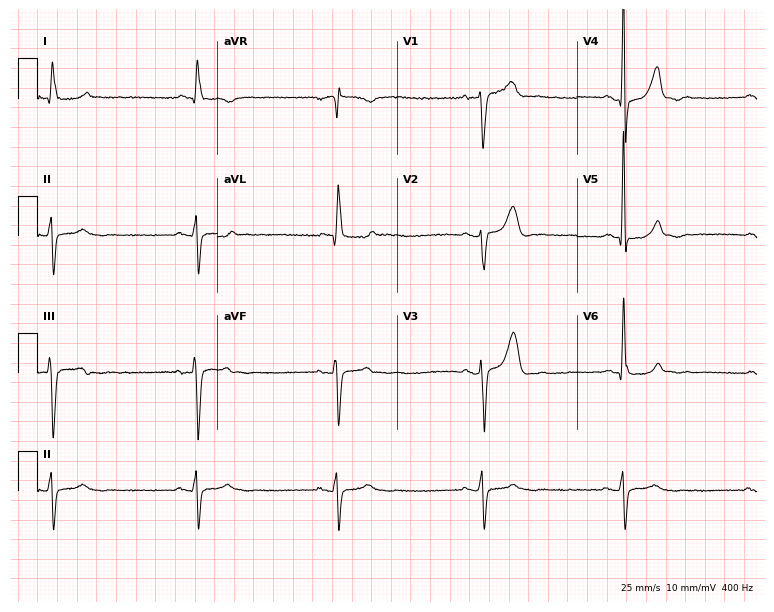
12-lead ECG from a male, 78 years old. No first-degree AV block, right bundle branch block, left bundle branch block, sinus bradycardia, atrial fibrillation or sinus tachycardia recorded for this tracing.